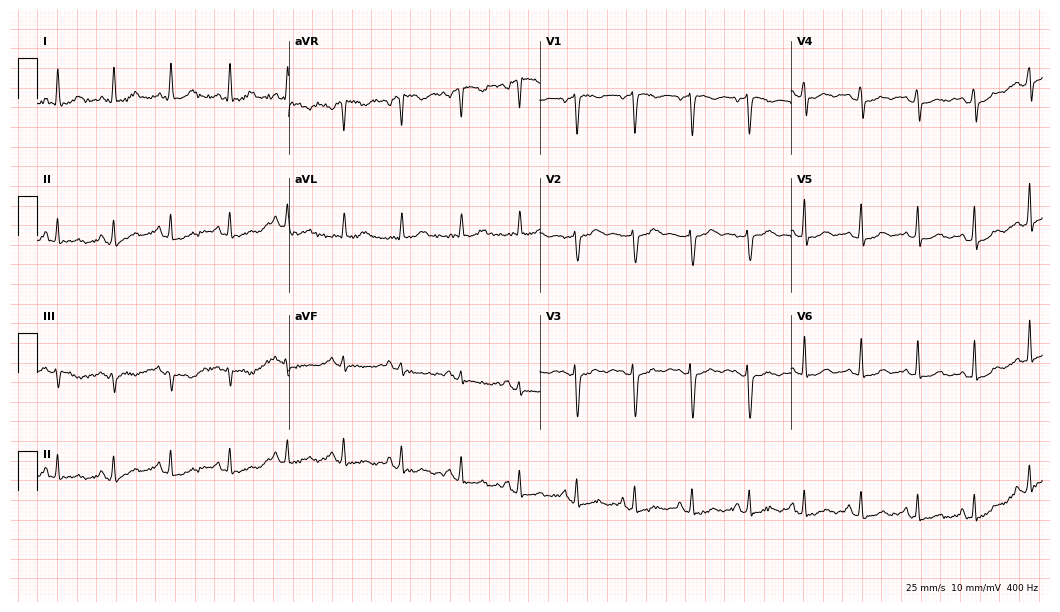
ECG — a 37-year-old woman. Findings include sinus tachycardia (a sinus rate of 100 beats per minute or more).